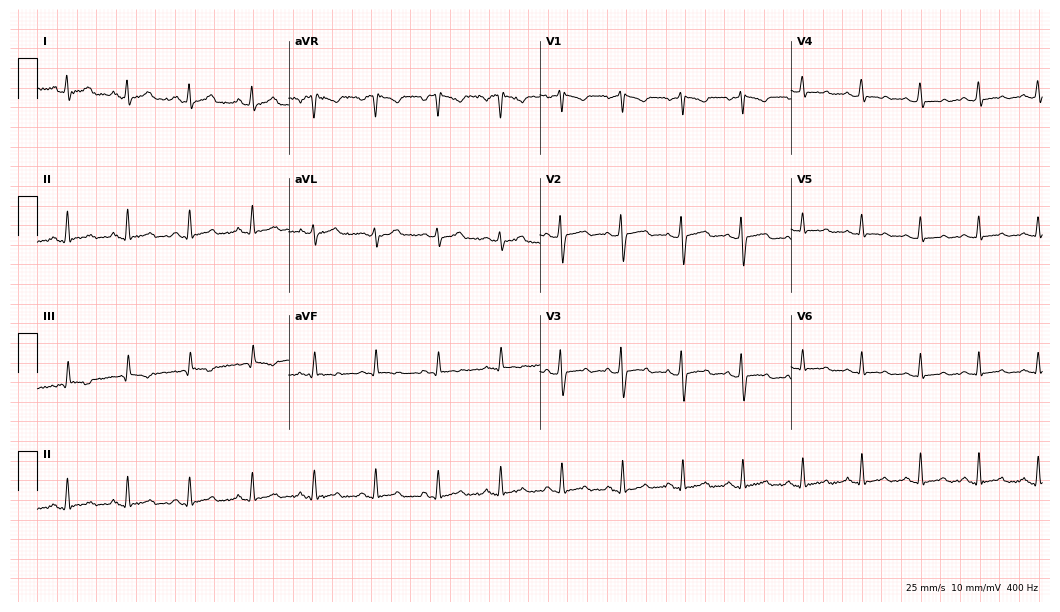
12-lead ECG from a 25-year-old woman (10.2-second recording at 400 Hz). No first-degree AV block, right bundle branch block, left bundle branch block, sinus bradycardia, atrial fibrillation or sinus tachycardia recorded for this tracing.